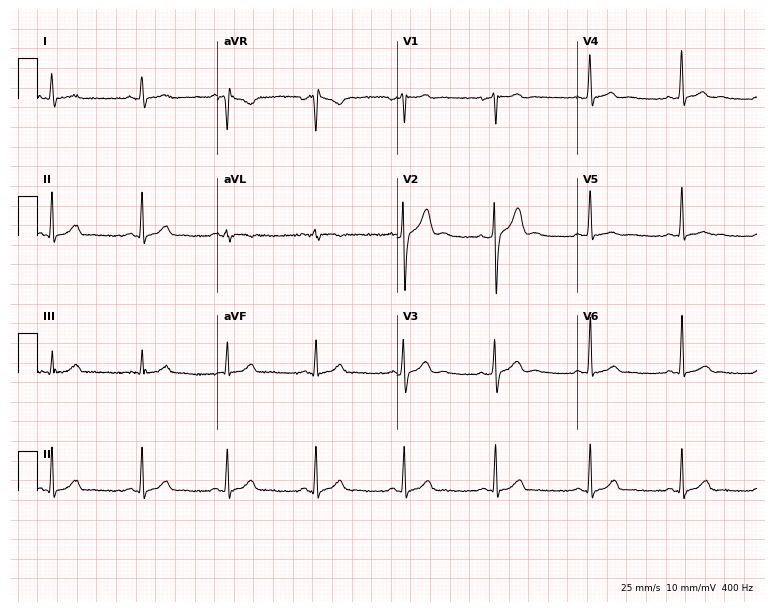
12-lead ECG from a male, 26 years old (7.3-second recording at 400 Hz). No first-degree AV block, right bundle branch block, left bundle branch block, sinus bradycardia, atrial fibrillation or sinus tachycardia recorded for this tracing. Only these six findings were labelled.